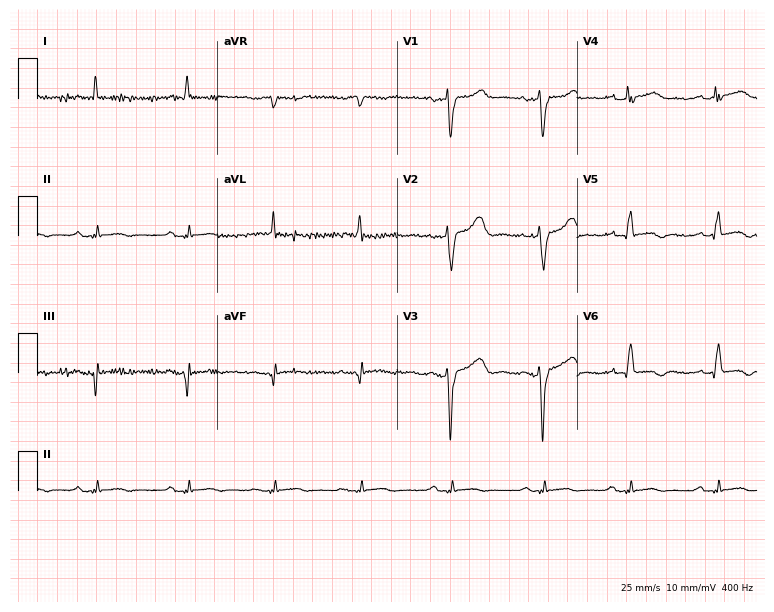
12-lead ECG (7.3-second recording at 400 Hz) from a woman, 74 years old. Screened for six findings — first-degree AV block, right bundle branch block, left bundle branch block, sinus bradycardia, atrial fibrillation, sinus tachycardia — none is recorded.